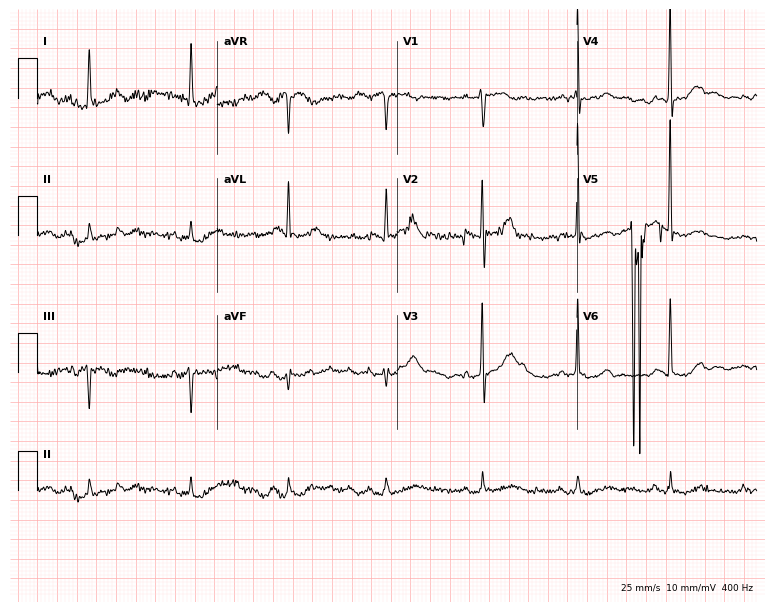
Resting 12-lead electrocardiogram (7.3-second recording at 400 Hz). Patient: an 81-year-old man. None of these six findings is recorded: first-degree AV block, right bundle branch block, left bundle branch block, sinus bradycardia, atrial fibrillation, sinus tachycardia. Findings outside these six are not listed.